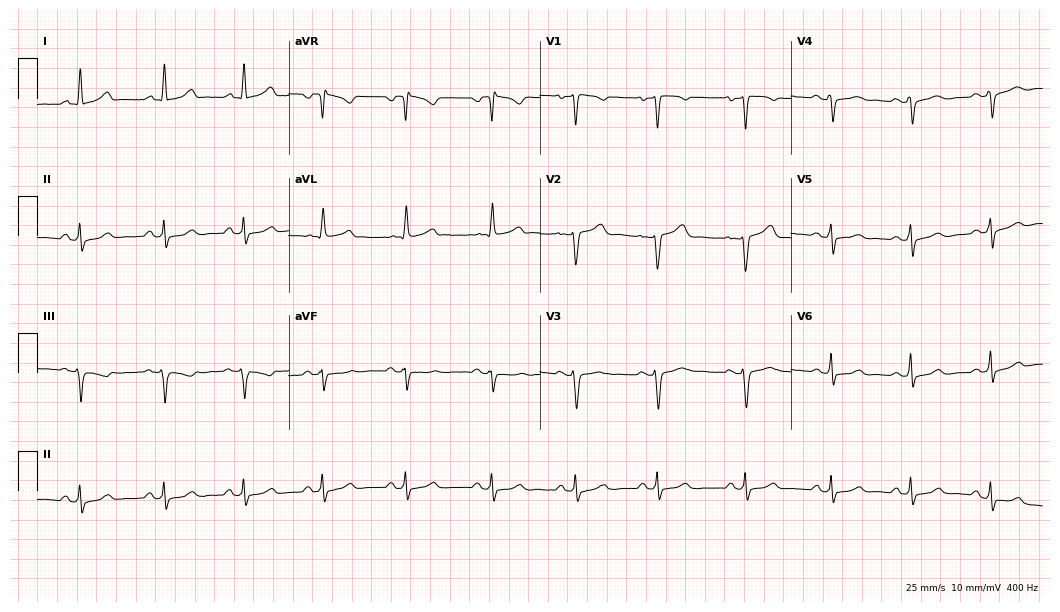
12-lead ECG from a 37-year-old female patient. Recorded interpretation: within normal limits.